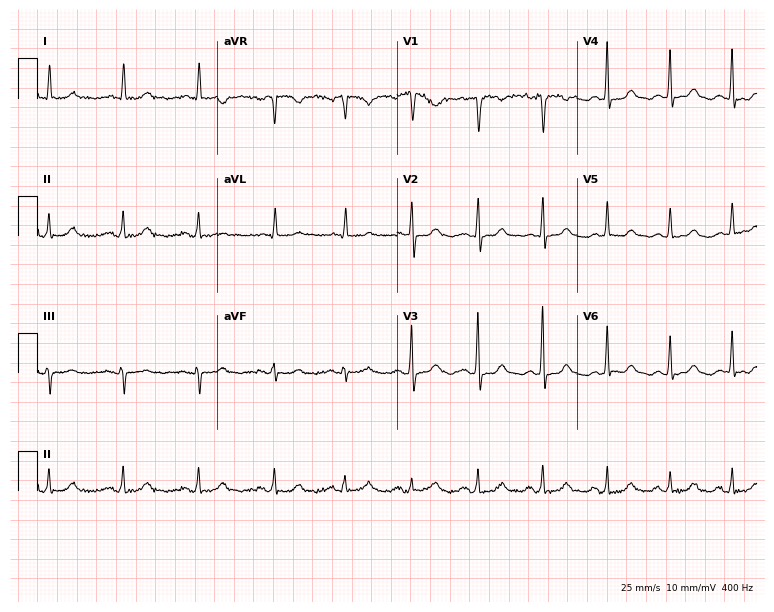
Standard 12-lead ECG recorded from a woman, 53 years old (7.3-second recording at 400 Hz). None of these six findings is recorded: first-degree AV block, right bundle branch block (RBBB), left bundle branch block (LBBB), sinus bradycardia, atrial fibrillation (AF), sinus tachycardia.